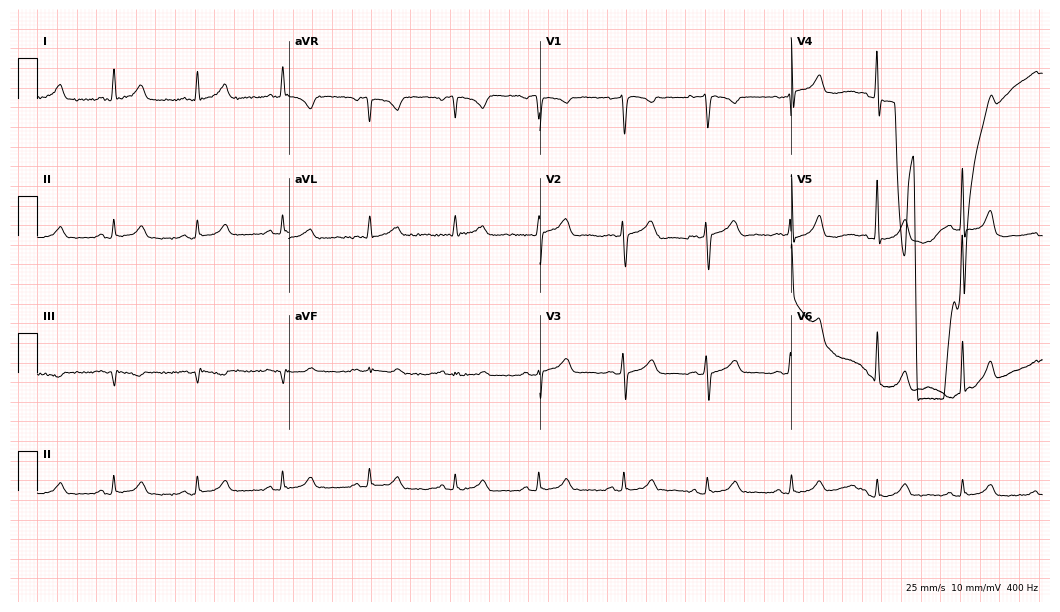
Resting 12-lead electrocardiogram (10.2-second recording at 400 Hz). Patient: a female, 53 years old. Read as a normal ECG.